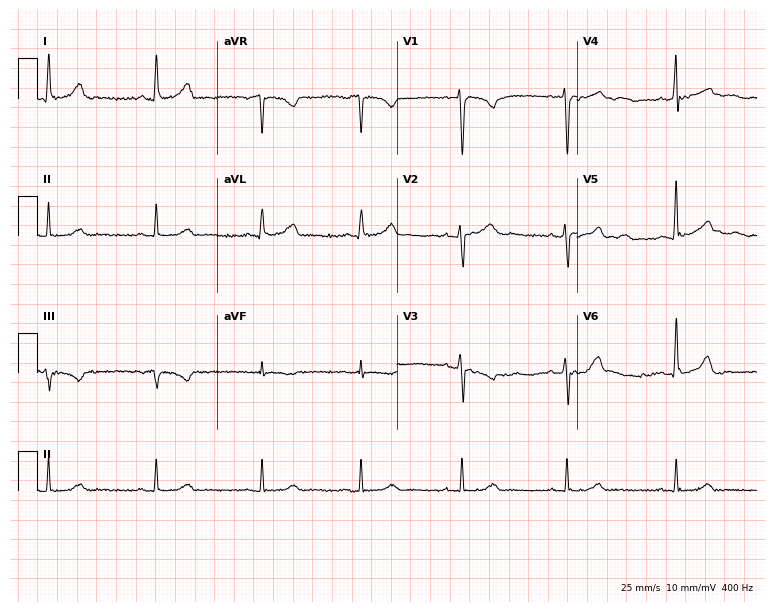
12-lead ECG from a female patient, 44 years old (7.3-second recording at 400 Hz). No first-degree AV block, right bundle branch block (RBBB), left bundle branch block (LBBB), sinus bradycardia, atrial fibrillation (AF) or sinus tachycardia recorded for this tracing.